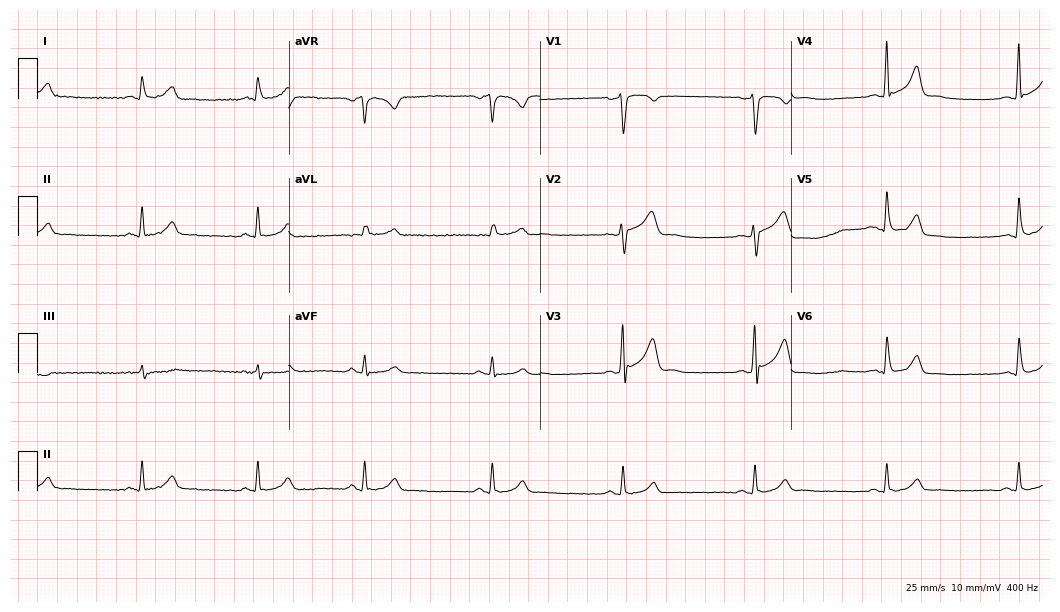
12-lead ECG (10.2-second recording at 400 Hz) from a 45-year-old female. Findings include sinus bradycardia (a sinus rate of 50 beats per minute or less).